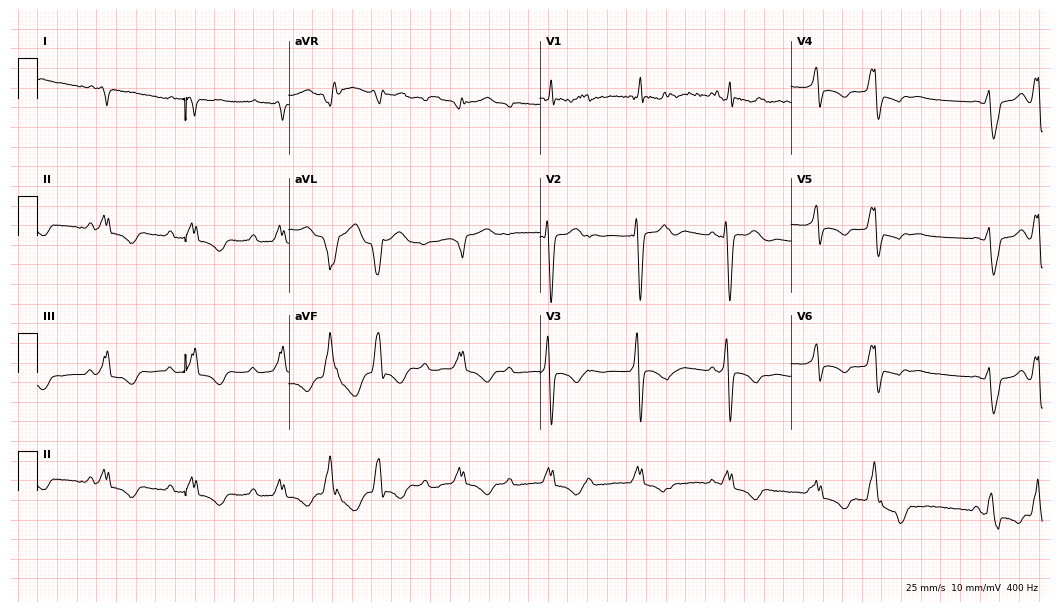
12-lead ECG from a male, 51 years old (10.2-second recording at 400 Hz). No first-degree AV block, right bundle branch block (RBBB), left bundle branch block (LBBB), sinus bradycardia, atrial fibrillation (AF) or sinus tachycardia recorded for this tracing.